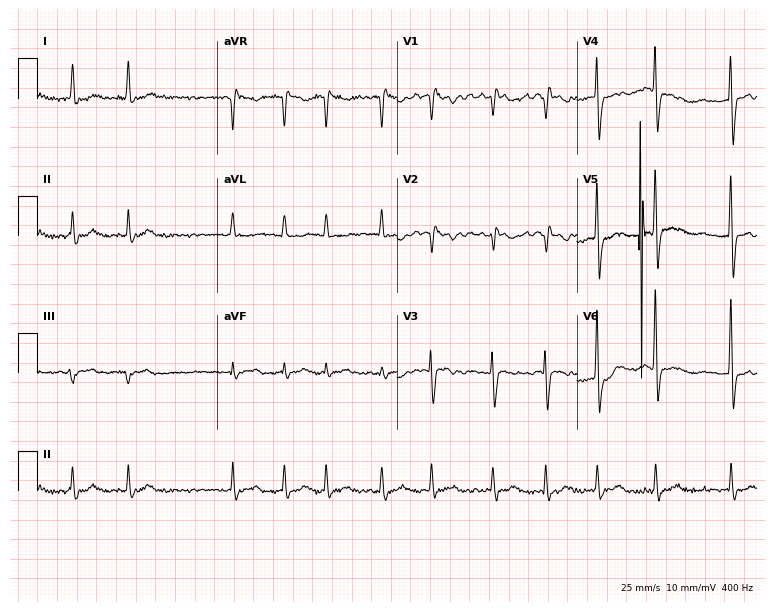
12-lead ECG from a female, 80 years old. Shows atrial fibrillation (AF).